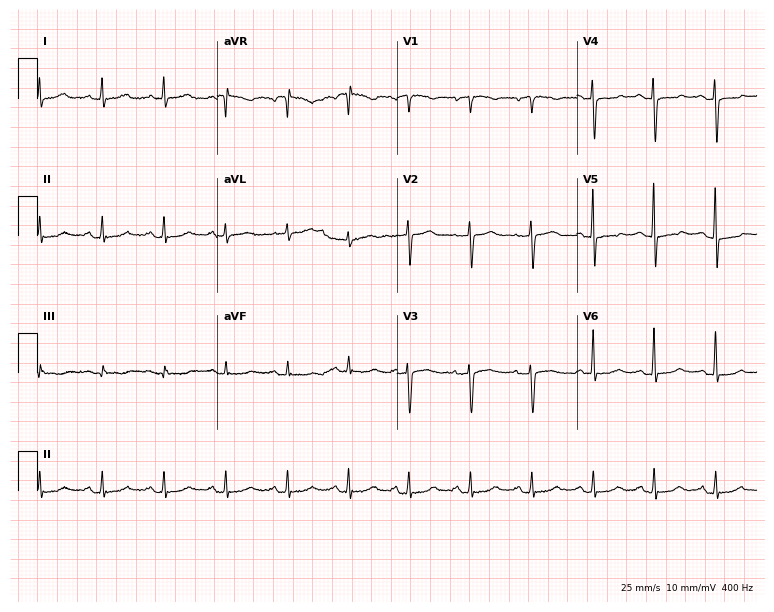
12-lead ECG from a female patient, 66 years old. Labelled as a normal ECG.